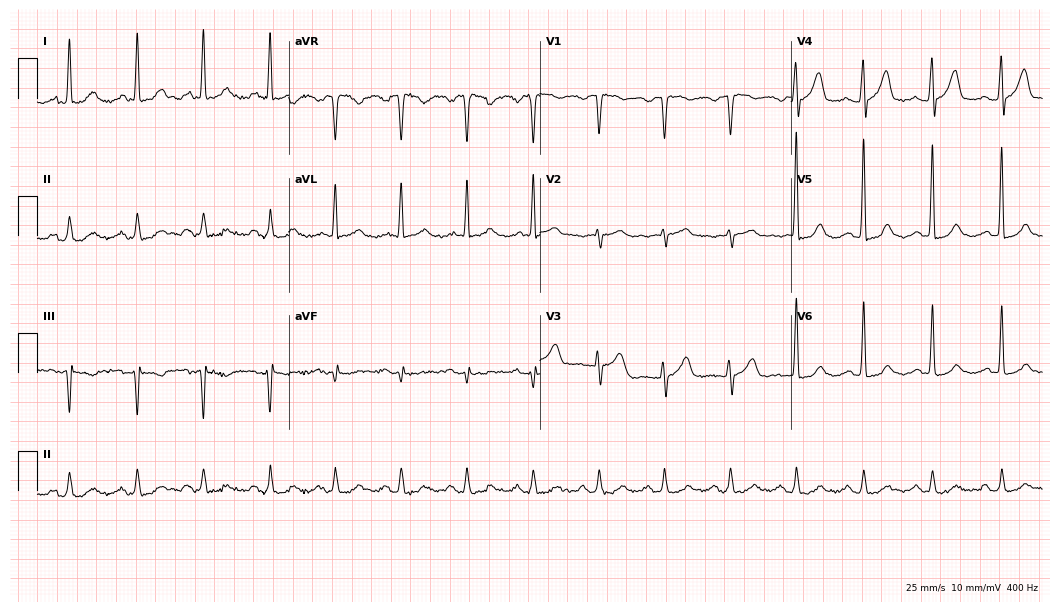
12-lead ECG (10.2-second recording at 400 Hz) from a male, 76 years old. Labelled as a normal ECG.